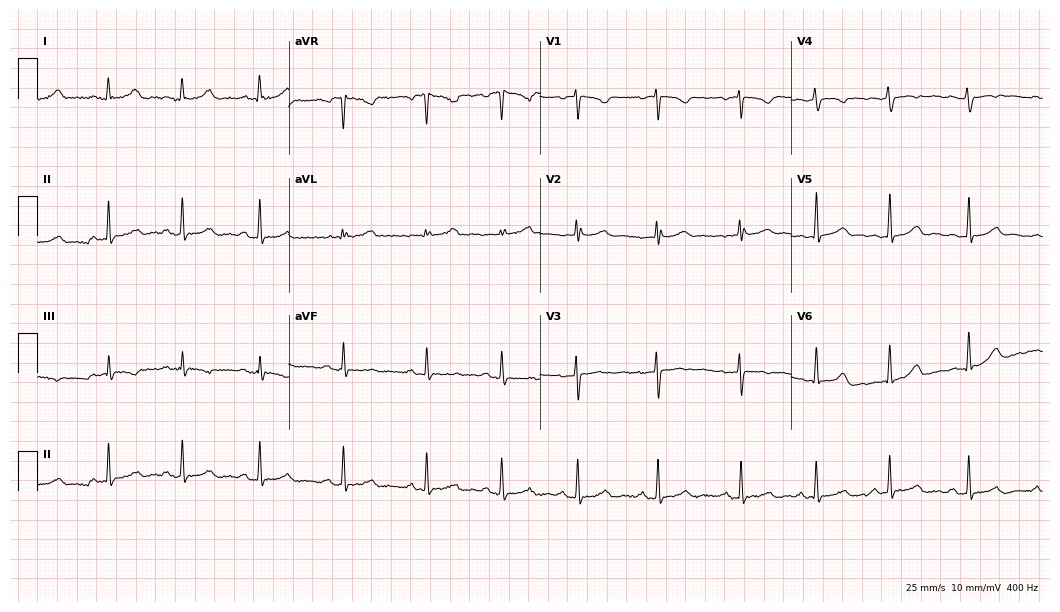
Electrocardiogram, a 28-year-old female patient. Overall reading on record: normal ECG.